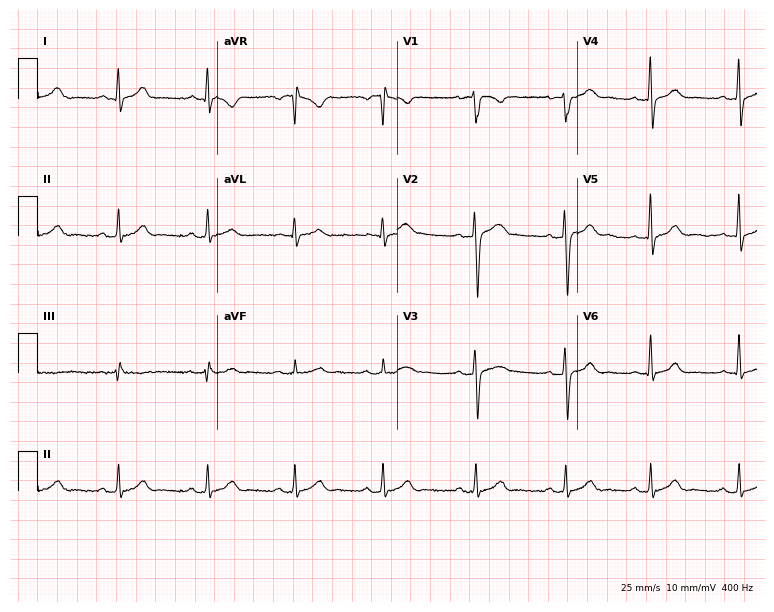
Standard 12-lead ECG recorded from a man, 23 years old (7.3-second recording at 400 Hz). Read as a normal ECG.